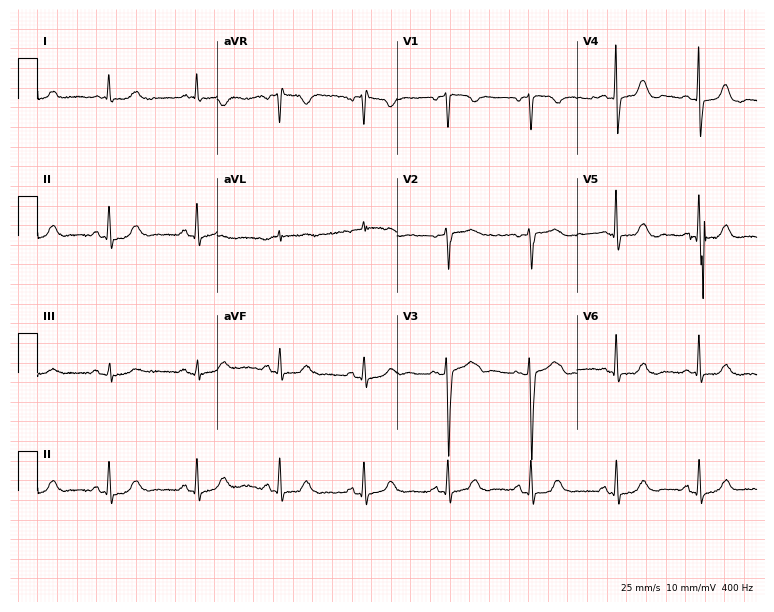
Resting 12-lead electrocardiogram (7.3-second recording at 400 Hz). Patient: a 67-year-old woman. Read as a normal ECG.